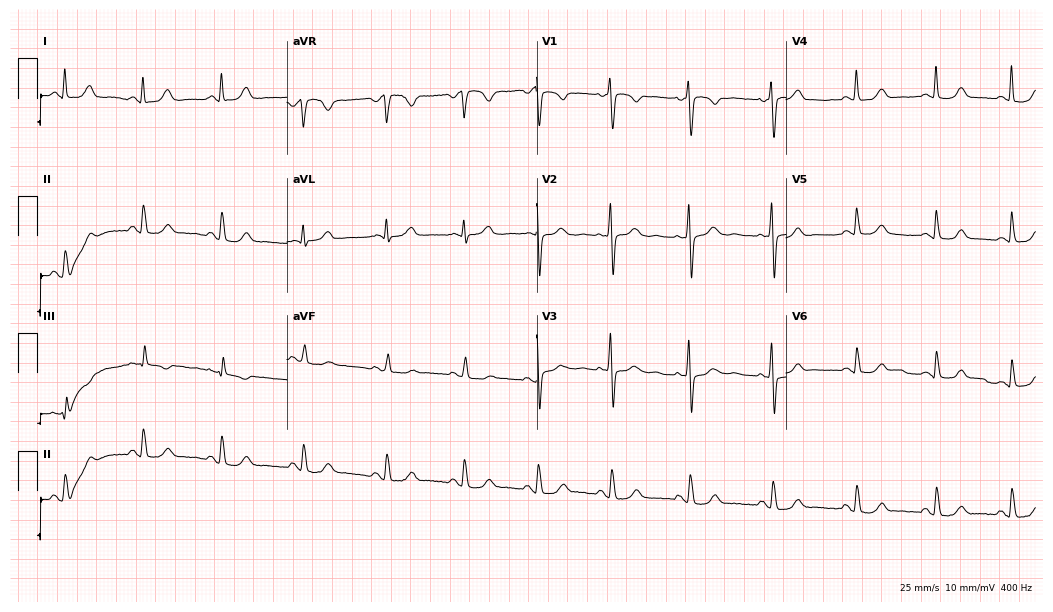
Resting 12-lead electrocardiogram (10.2-second recording at 400 Hz). Patient: a 36-year-old female. Read as a normal ECG.